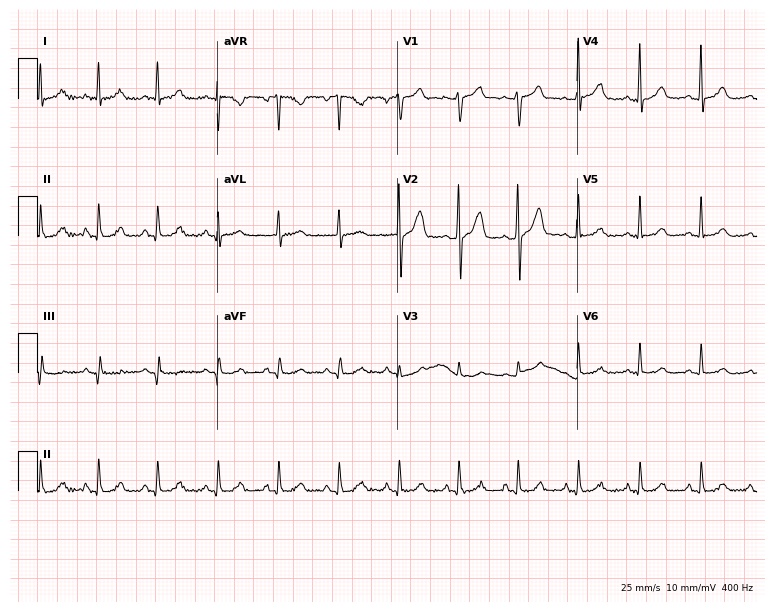
Electrocardiogram (7.3-second recording at 400 Hz), a man, 52 years old. Of the six screened findings (first-degree AV block, right bundle branch block (RBBB), left bundle branch block (LBBB), sinus bradycardia, atrial fibrillation (AF), sinus tachycardia), none is recorded.